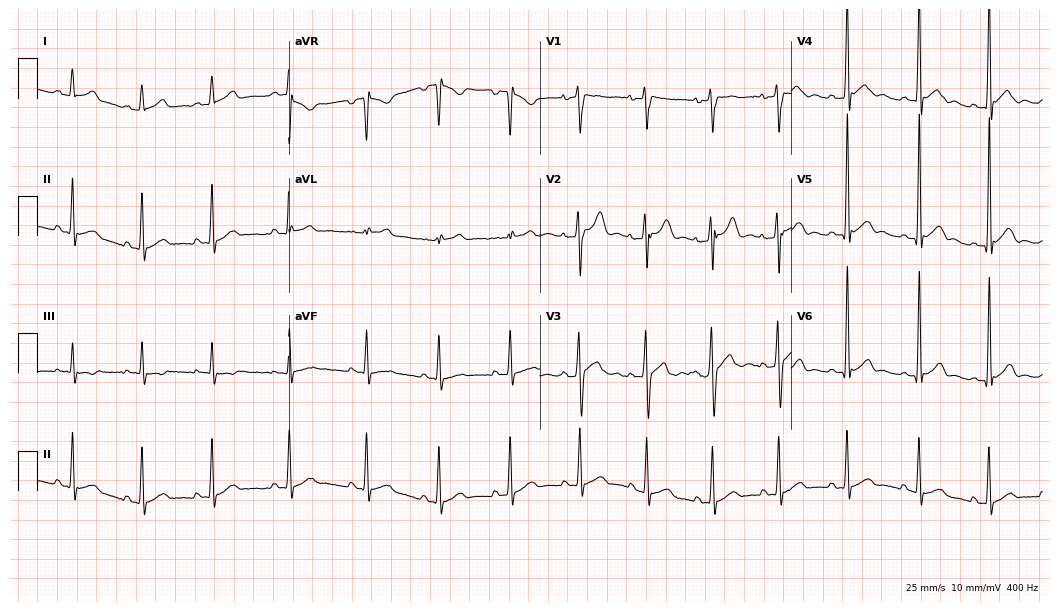
Electrocardiogram (10.2-second recording at 400 Hz), a male, 17 years old. Overall reading on record: normal ECG.